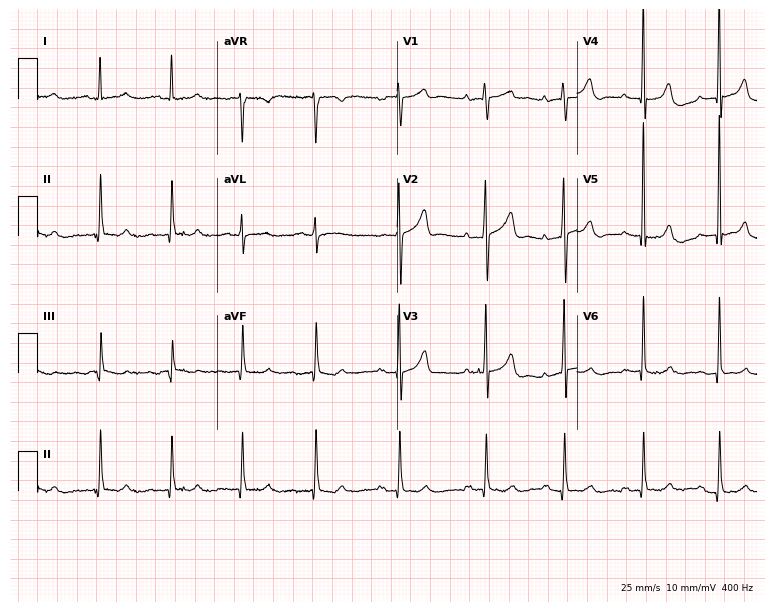
Standard 12-lead ECG recorded from a male patient, 82 years old (7.3-second recording at 400 Hz). None of these six findings is recorded: first-degree AV block, right bundle branch block, left bundle branch block, sinus bradycardia, atrial fibrillation, sinus tachycardia.